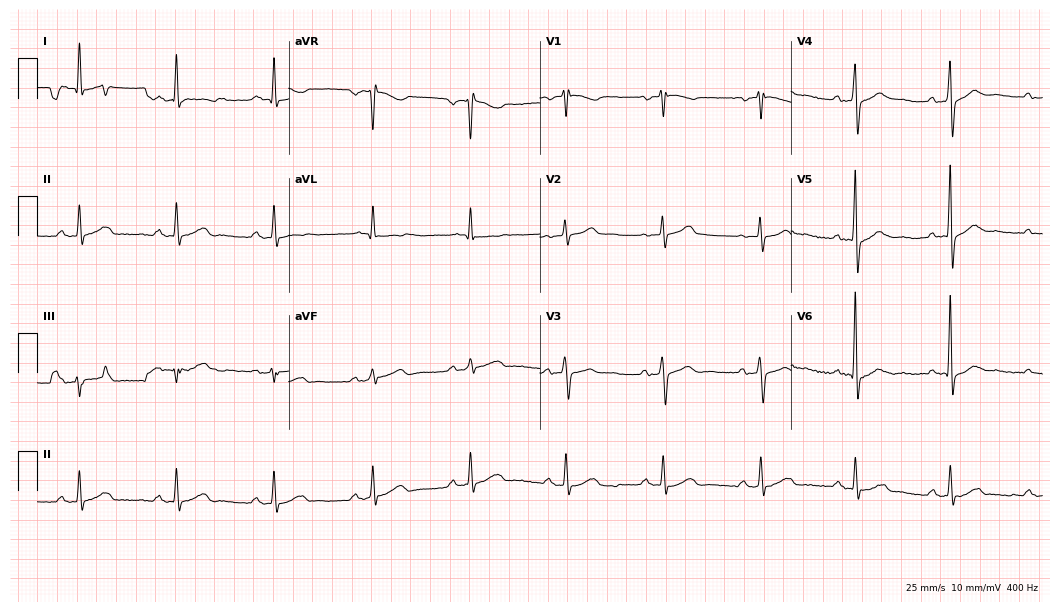
12-lead ECG from a 66-year-old male (10.2-second recording at 400 Hz). No first-degree AV block, right bundle branch block (RBBB), left bundle branch block (LBBB), sinus bradycardia, atrial fibrillation (AF) or sinus tachycardia recorded for this tracing. Only these six findings were labelled.